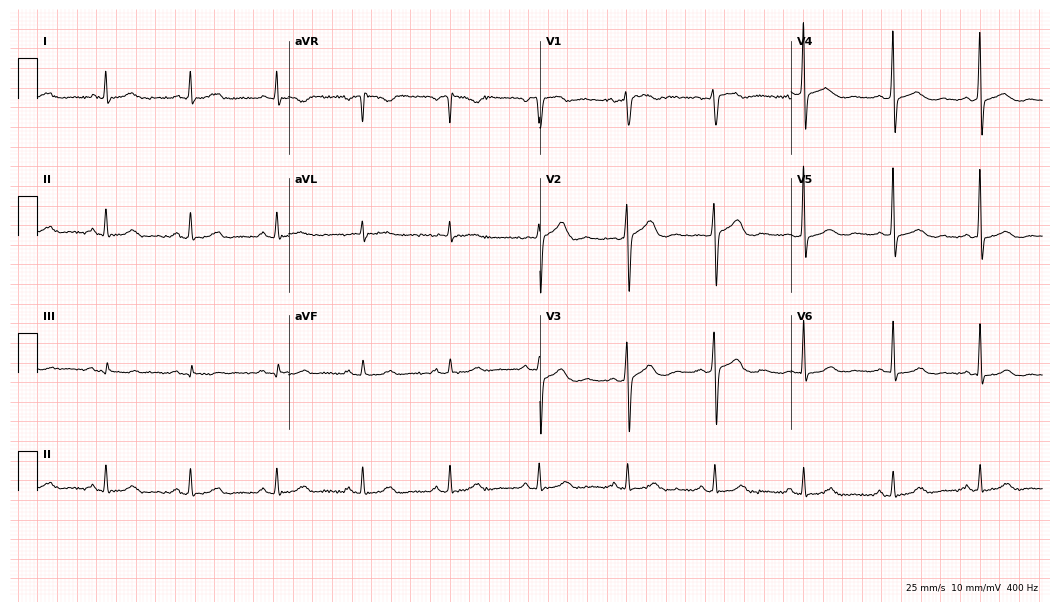
ECG — a male, 51 years old. Labelled as a normal ECG.